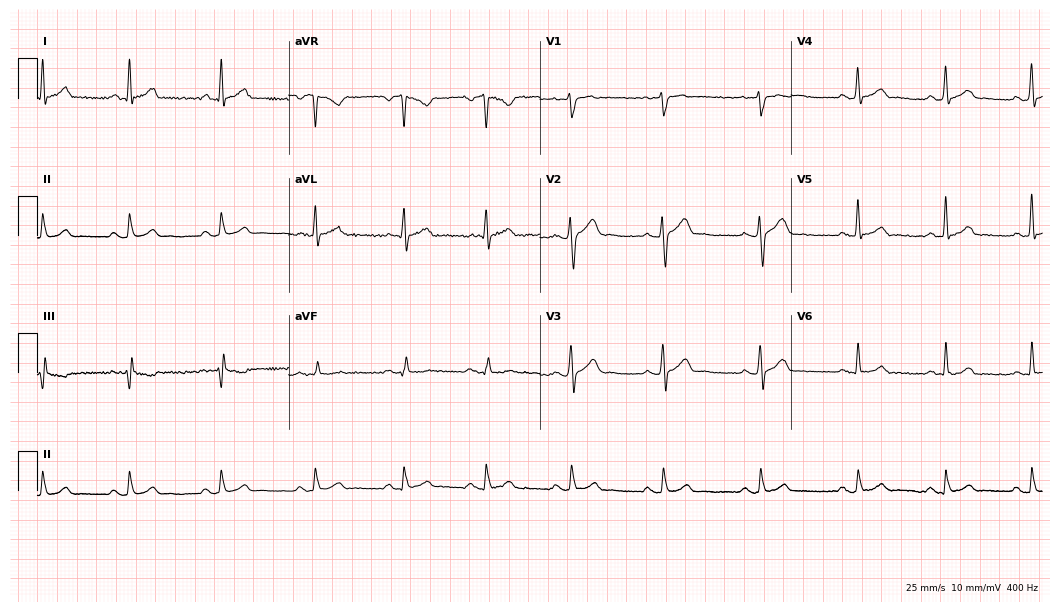
Standard 12-lead ECG recorded from a 36-year-old man (10.2-second recording at 400 Hz). Read as a normal ECG.